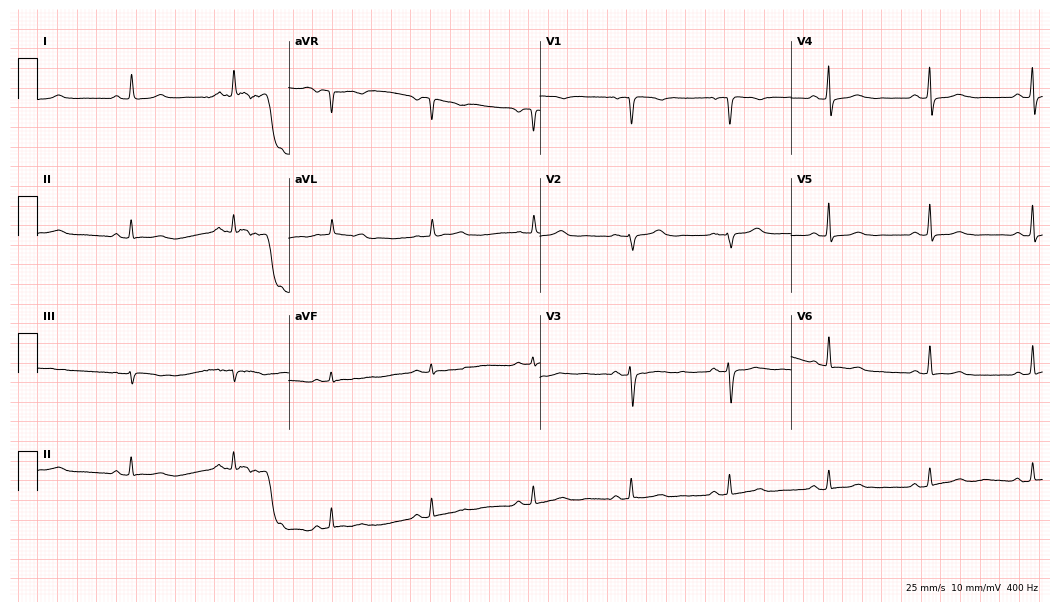
Electrocardiogram (10.2-second recording at 400 Hz), a woman, 63 years old. Of the six screened findings (first-degree AV block, right bundle branch block, left bundle branch block, sinus bradycardia, atrial fibrillation, sinus tachycardia), none is recorded.